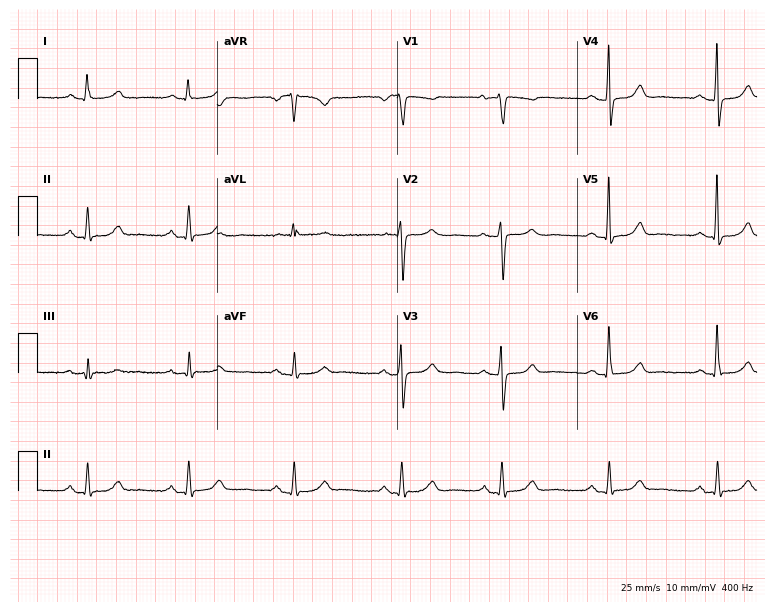
Electrocardiogram, a female patient, 79 years old. Overall reading on record: normal ECG.